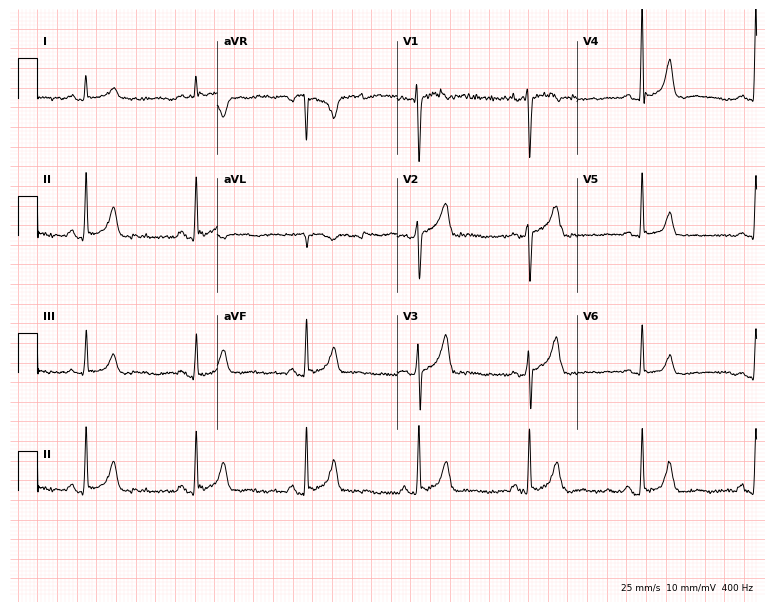
Resting 12-lead electrocardiogram. Patient: a male, 46 years old. None of these six findings is recorded: first-degree AV block, right bundle branch block, left bundle branch block, sinus bradycardia, atrial fibrillation, sinus tachycardia. Other findings, if any, are not listed.